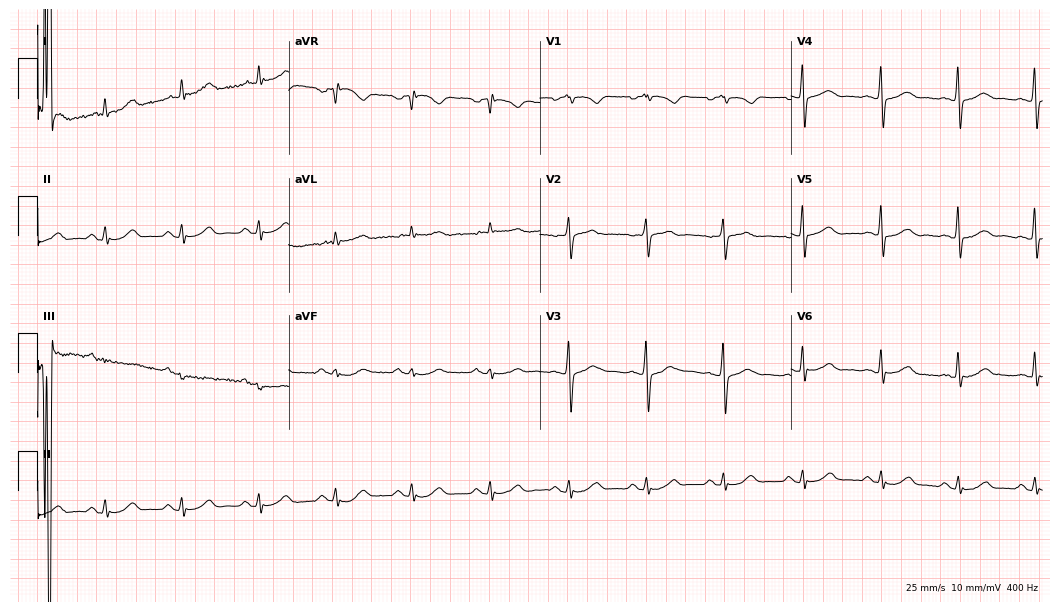
ECG — a 67-year-old male patient. Screened for six findings — first-degree AV block, right bundle branch block, left bundle branch block, sinus bradycardia, atrial fibrillation, sinus tachycardia — none is recorded.